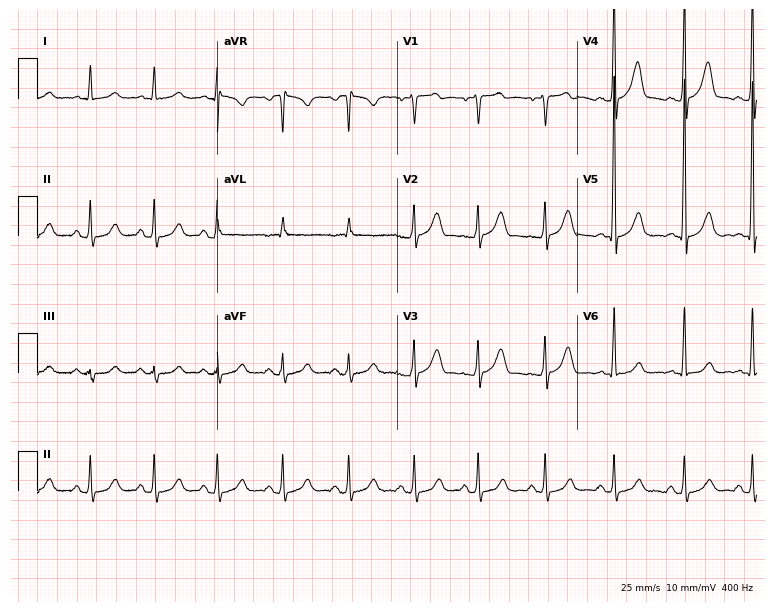
Resting 12-lead electrocardiogram. Patient: a man, 55 years old. Read as a normal ECG.